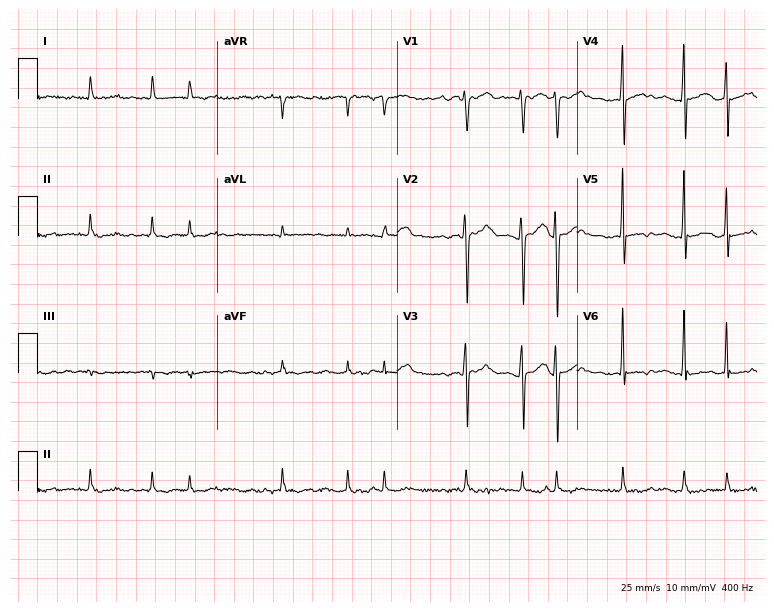
ECG — a female patient, 74 years old. Findings include atrial fibrillation.